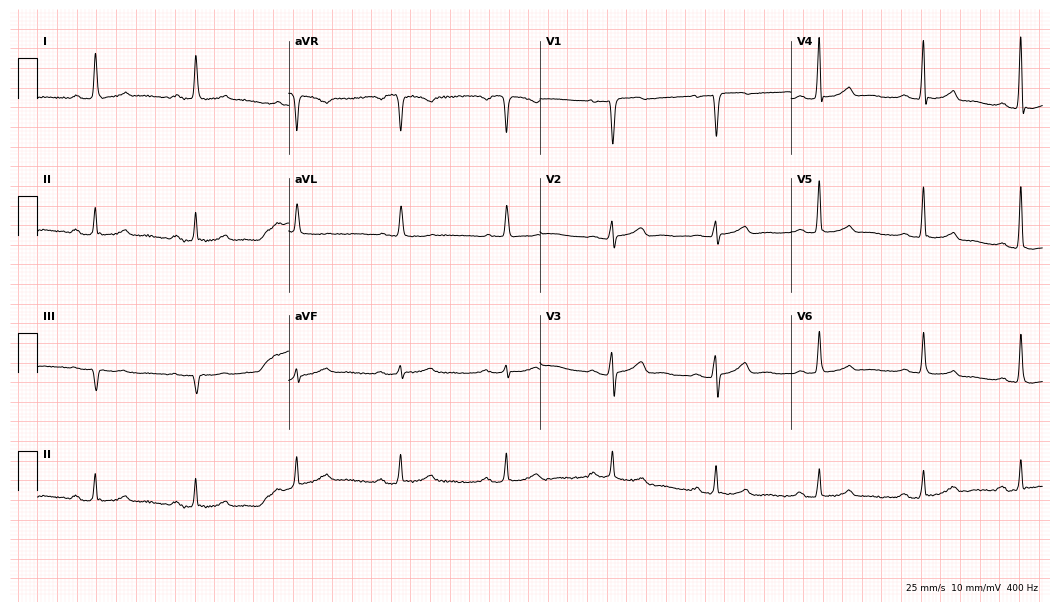
Electrocardiogram (10.2-second recording at 400 Hz), a 63-year-old woman. Overall reading on record: normal ECG.